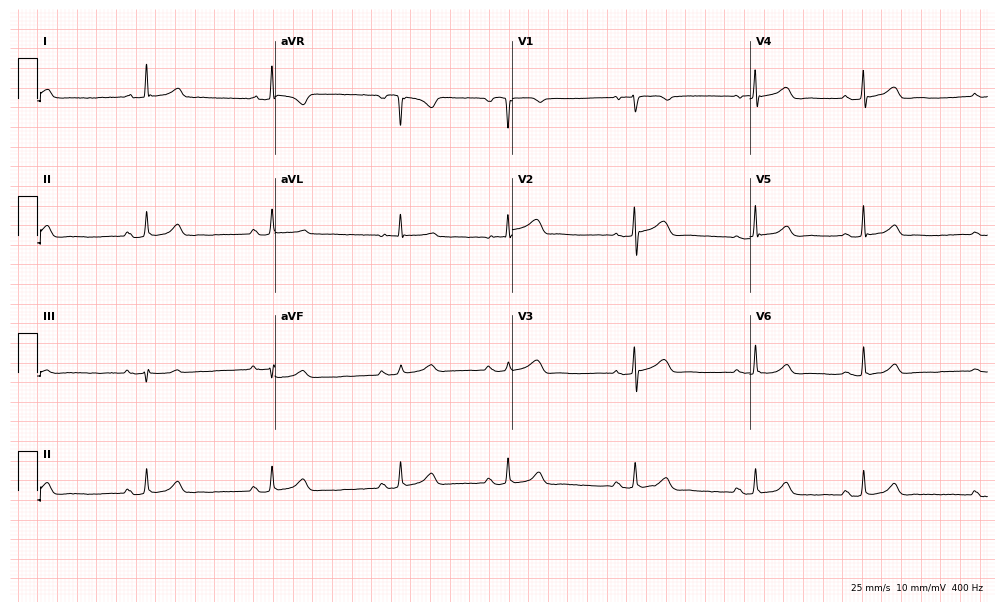
ECG — a 79-year-old female. Findings include sinus bradycardia (a sinus rate of 50 beats per minute or less).